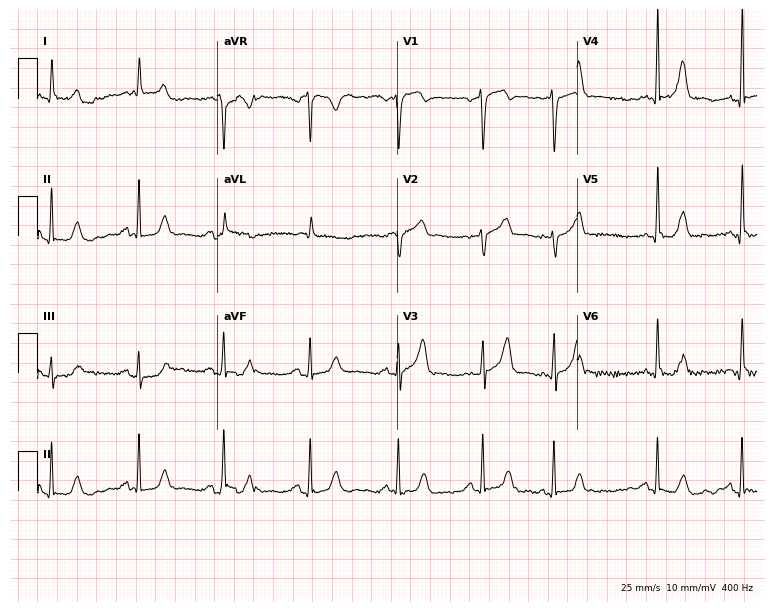
Standard 12-lead ECG recorded from a 74-year-old man. None of these six findings is recorded: first-degree AV block, right bundle branch block, left bundle branch block, sinus bradycardia, atrial fibrillation, sinus tachycardia.